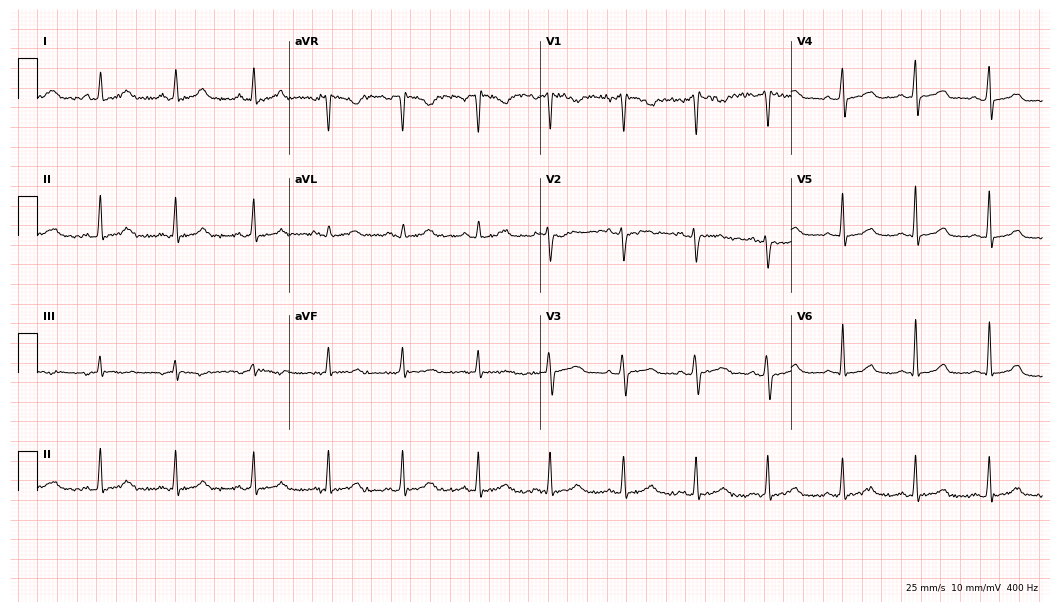
Resting 12-lead electrocardiogram. Patient: a woman, 29 years old. Read as a normal ECG.